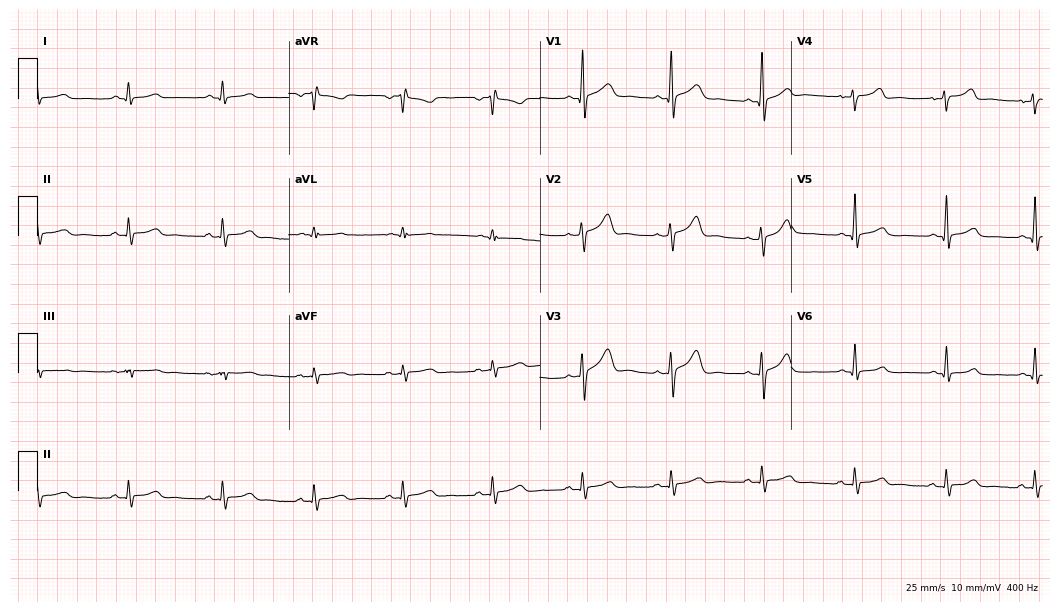
Electrocardiogram (10.2-second recording at 400 Hz), a 44-year-old male patient. Of the six screened findings (first-degree AV block, right bundle branch block (RBBB), left bundle branch block (LBBB), sinus bradycardia, atrial fibrillation (AF), sinus tachycardia), none is recorded.